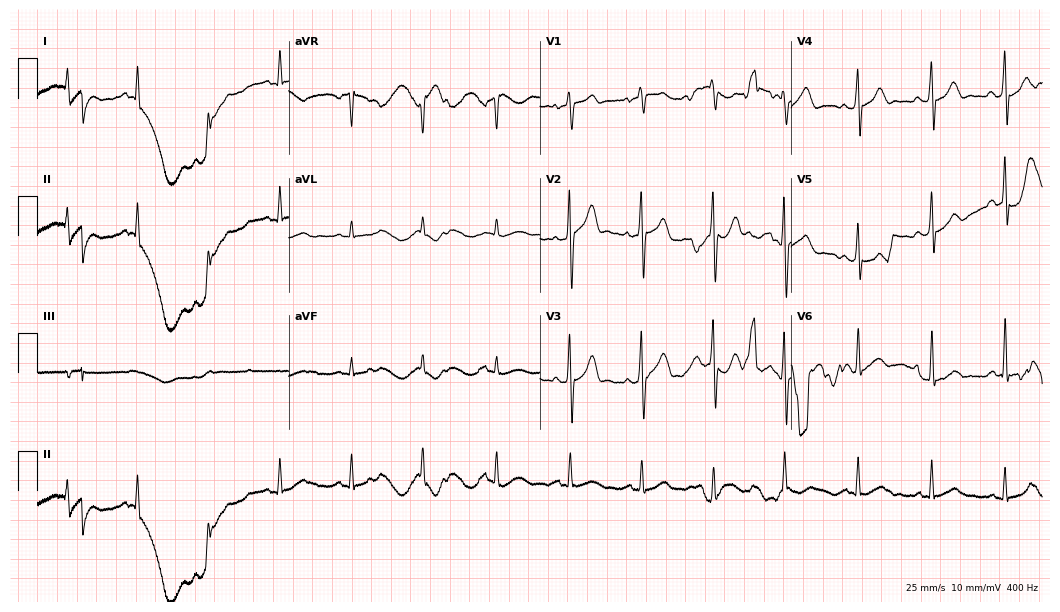
12-lead ECG from a male patient, 57 years old. No first-degree AV block, right bundle branch block (RBBB), left bundle branch block (LBBB), sinus bradycardia, atrial fibrillation (AF) or sinus tachycardia recorded for this tracing. Only these six findings were labelled.